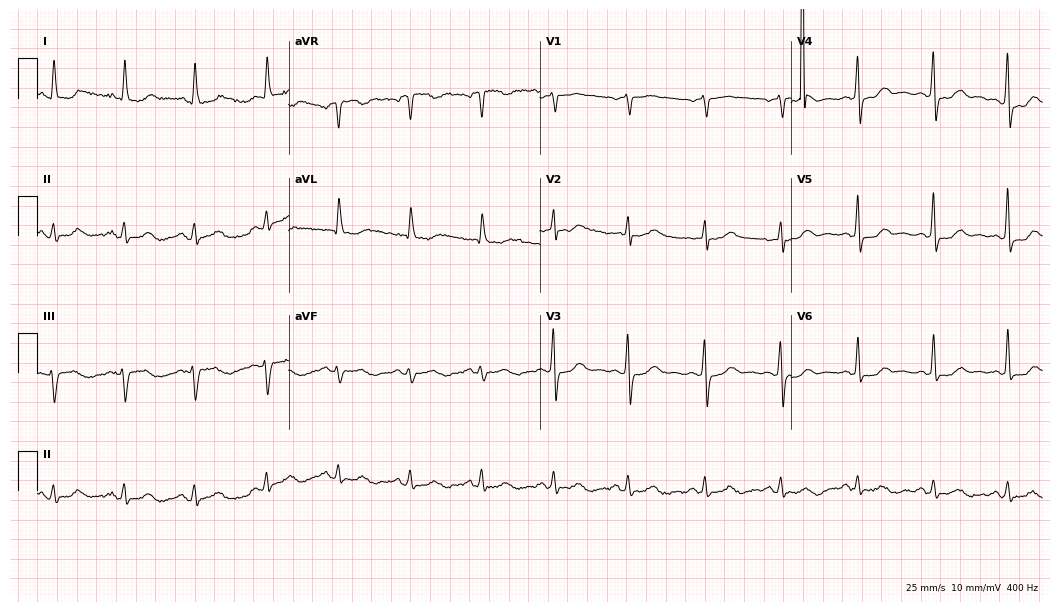
Electrocardiogram (10.2-second recording at 400 Hz), a 67-year-old female patient. Of the six screened findings (first-degree AV block, right bundle branch block (RBBB), left bundle branch block (LBBB), sinus bradycardia, atrial fibrillation (AF), sinus tachycardia), none is recorded. Other findings, if any, are not listed.